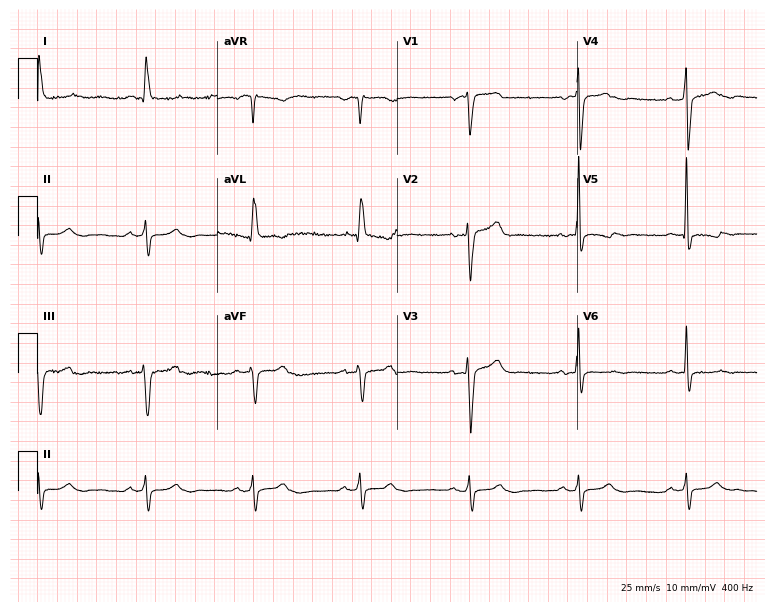
Standard 12-lead ECG recorded from a female patient, 70 years old. None of these six findings is recorded: first-degree AV block, right bundle branch block (RBBB), left bundle branch block (LBBB), sinus bradycardia, atrial fibrillation (AF), sinus tachycardia.